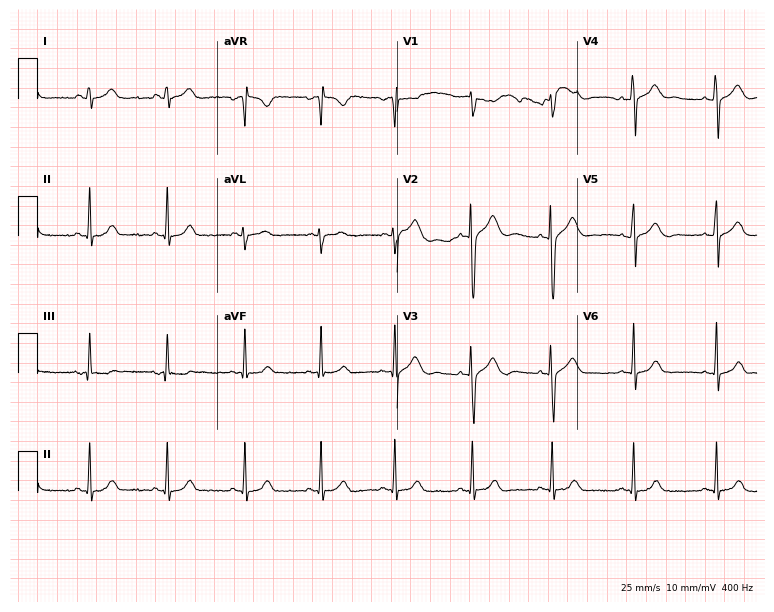
12-lead ECG from a female, 19 years old. Recorded interpretation: within normal limits.